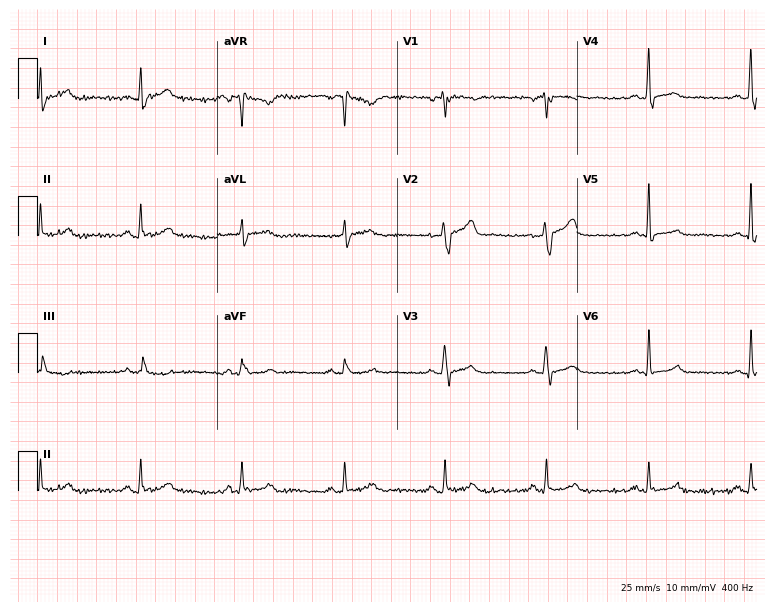
Electrocardiogram (7.3-second recording at 400 Hz), a male patient, 39 years old. Of the six screened findings (first-degree AV block, right bundle branch block (RBBB), left bundle branch block (LBBB), sinus bradycardia, atrial fibrillation (AF), sinus tachycardia), none is recorded. Other findings, if any, are not listed.